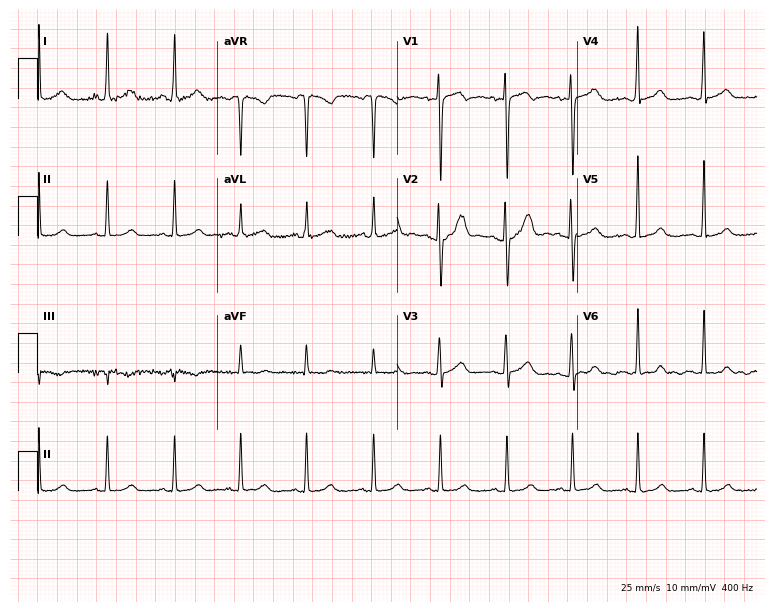
Electrocardiogram (7.3-second recording at 400 Hz), a female patient, 41 years old. Of the six screened findings (first-degree AV block, right bundle branch block (RBBB), left bundle branch block (LBBB), sinus bradycardia, atrial fibrillation (AF), sinus tachycardia), none is recorded. Only these six findings were labelled.